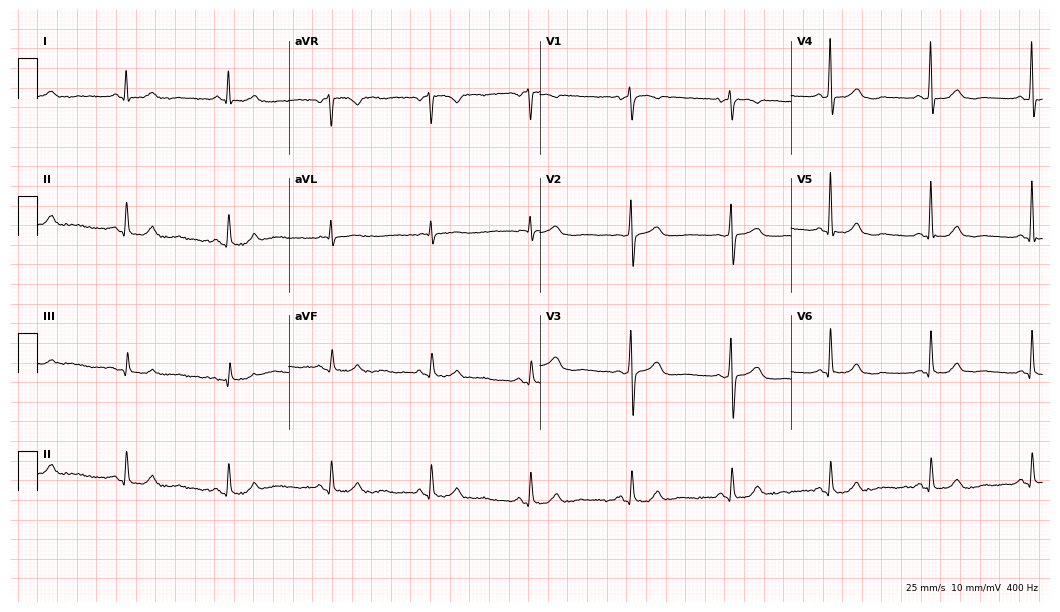
Standard 12-lead ECG recorded from a man, 77 years old (10.2-second recording at 400 Hz). None of these six findings is recorded: first-degree AV block, right bundle branch block, left bundle branch block, sinus bradycardia, atrial fibrillation, sinus tachycardia. Only these six findings were labelled.